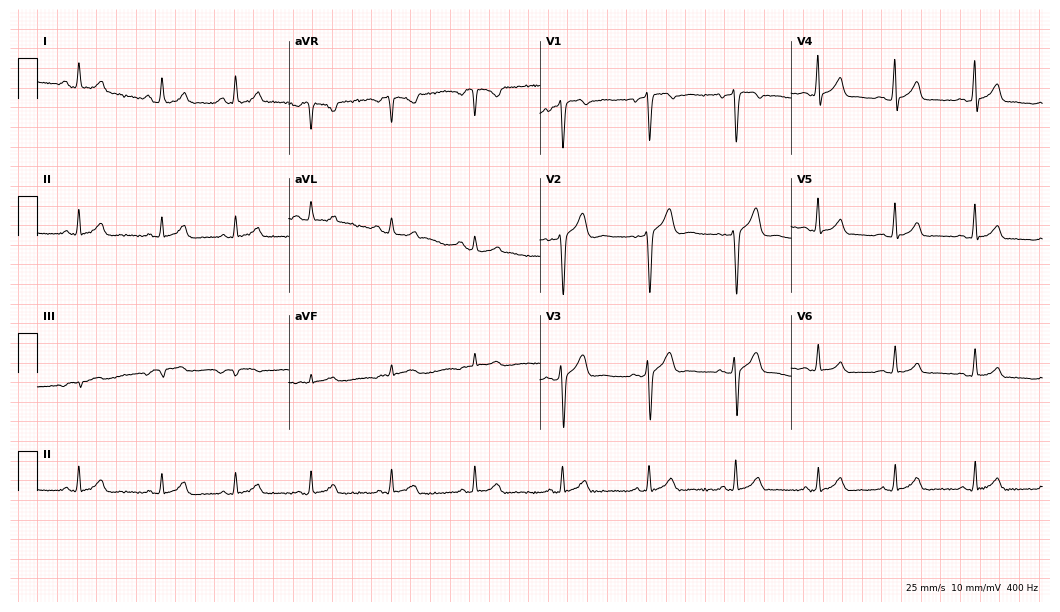
12-lead ECG from an 18-year-old male patient. Labelled as a normal ECG.